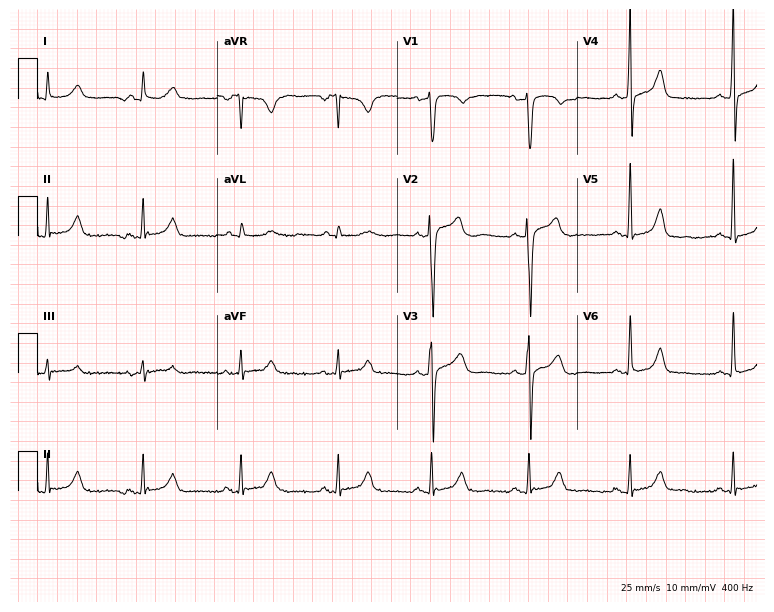
ECG (7.3-second recording at 400 Hz) — a 58-year-old male. Screened for six findings — first-degree AV block, right bundle branch block (RBBB), left bundle branch block (LBBB), sinus bradycardia, atrial fibrillation (AF), sinus tachycardia — none is recorded. Findings outside these six are not listed.